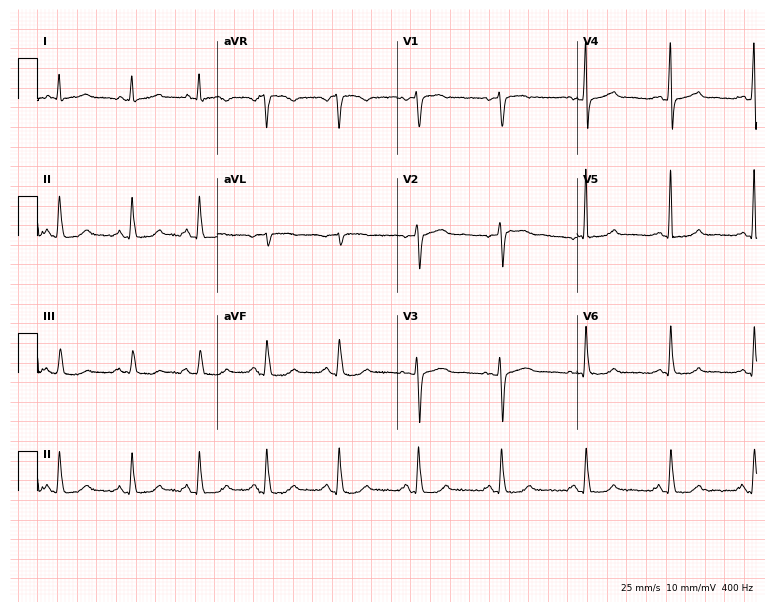
Standard 12-lead ECG recorded from a 55-year-old female. None of these six findings is recorded: first-degree AV block, right bundle branch block, left bundle branch block, sinus bradycardia, atrial fibrillation, sinus tachycardia.